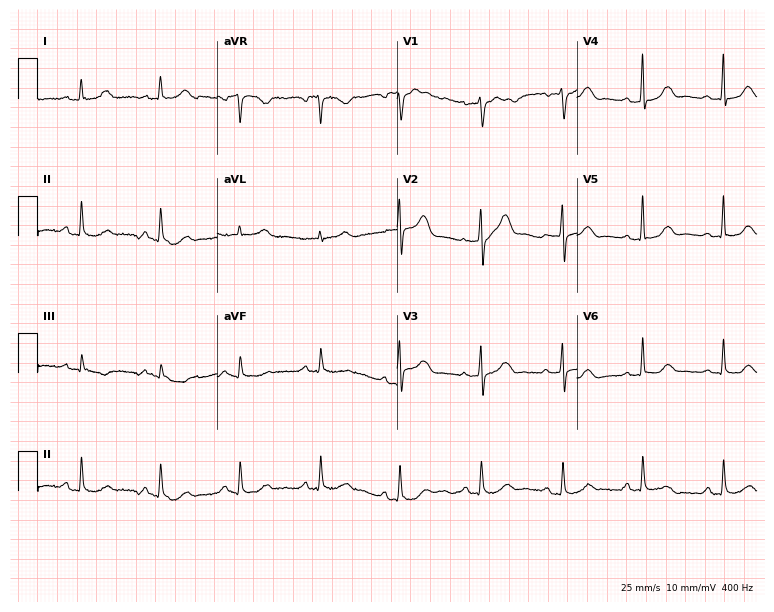
Electrocardiogram (7.3-second recording at 400 Hz), a 70-year-old female. Overall reading on record: normal ECG.